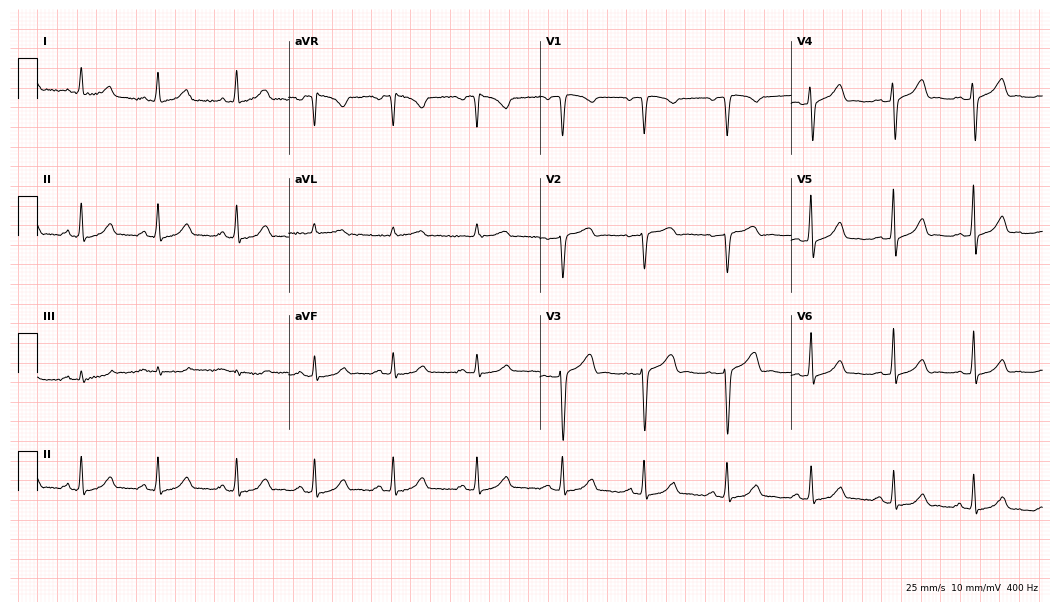
Electrocardiogram, a woman, 52 years old. Of the six screened findings (first-degree AV block, right bundle branch block (RBBB), left bundle branch block (LBBB), sinus bradycardia, atrial fibrillation (AF), sinus tachycardia), none is recorded.